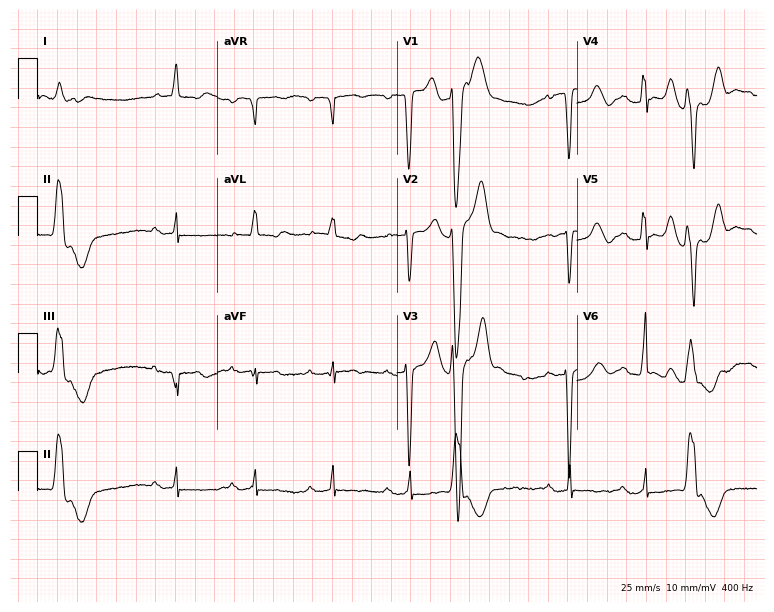
12-lead ECG from a 76-year-old man (7.3-second recording at 400 Hz). Shows first-degree AV block.